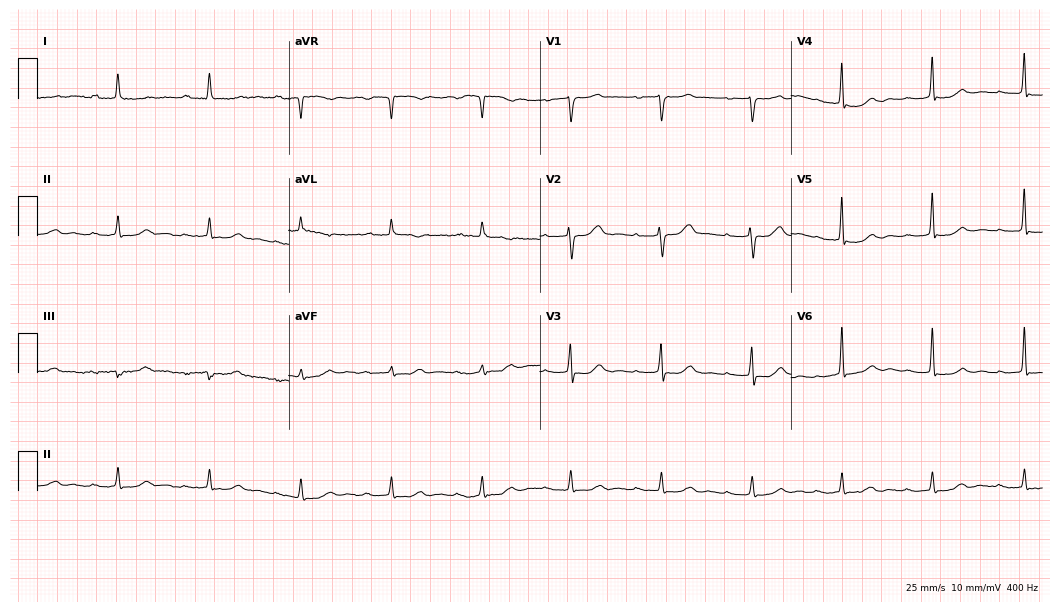
Standard 12-lead ECG recorded from a 79-year-old female. The tracing shows first-degree AV block.